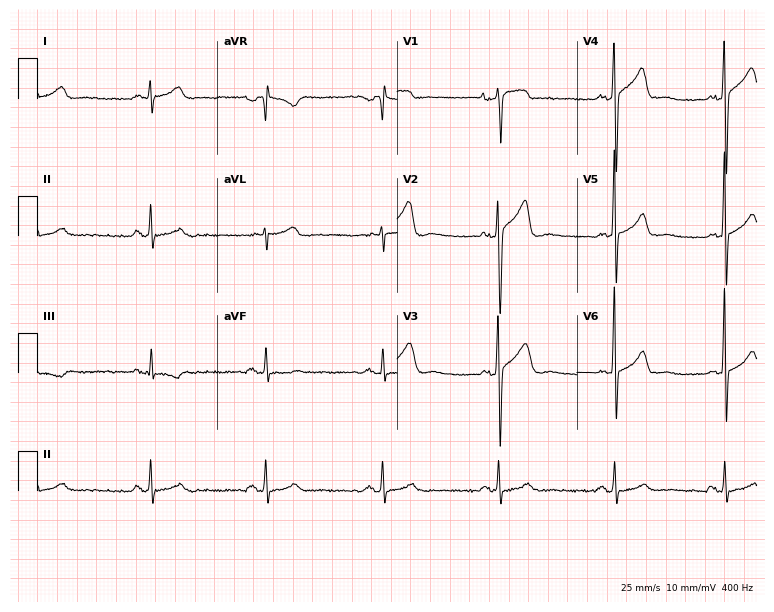
ECG (7.3-second recording at 400 Hz) — a 52-year-old male patient. Labelled as a normal ECG.